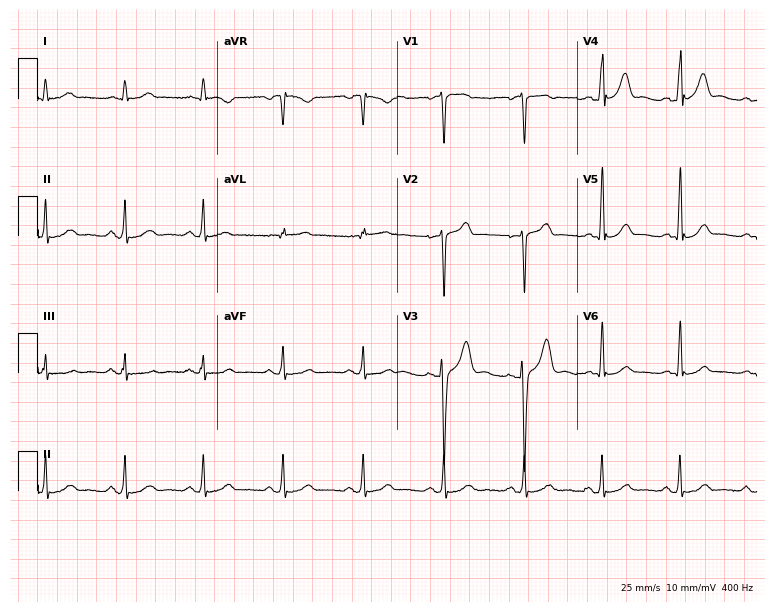
ECG (7.3-second recording at 400 Hz) — a 51-year-old male. Labelled as a normal ECG.